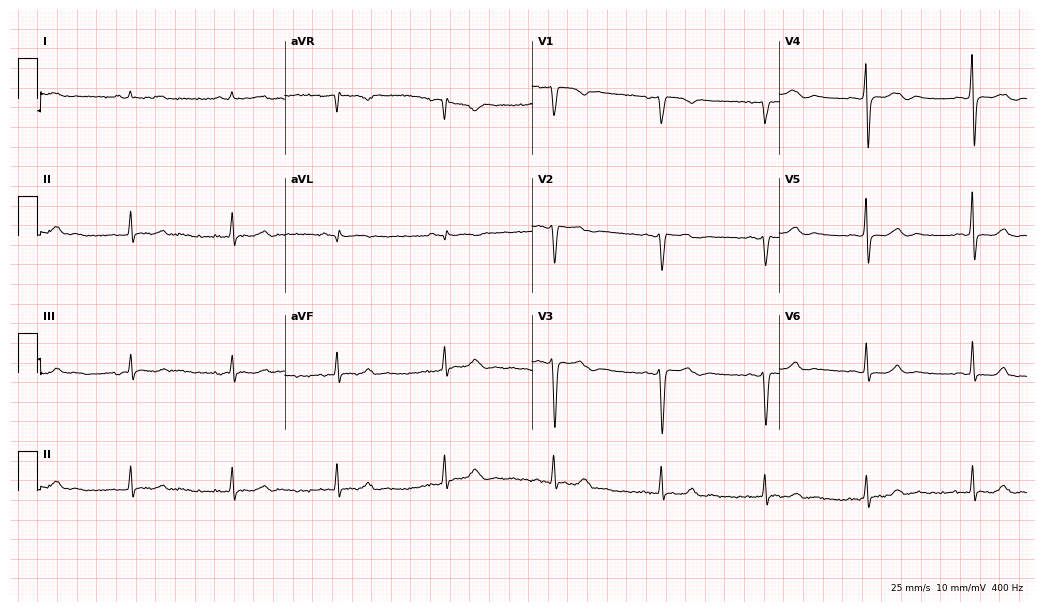
Electrocardiogram, a 42-year-old man. Overall reading on record: normal ECG.